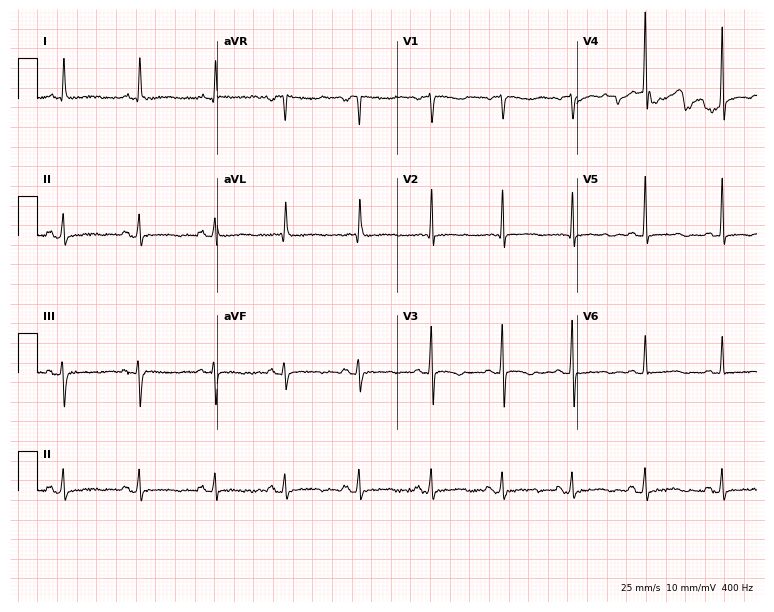
Electrocardiogram (7.3-second recording at 400 Hz), a female, 75 years old. Of the six screened findings (first-degree AV block, right bundle branch block, left bundle branch block, sinus bradycardia, atrial fibrillation, sinus tachycardia), none is recorded.